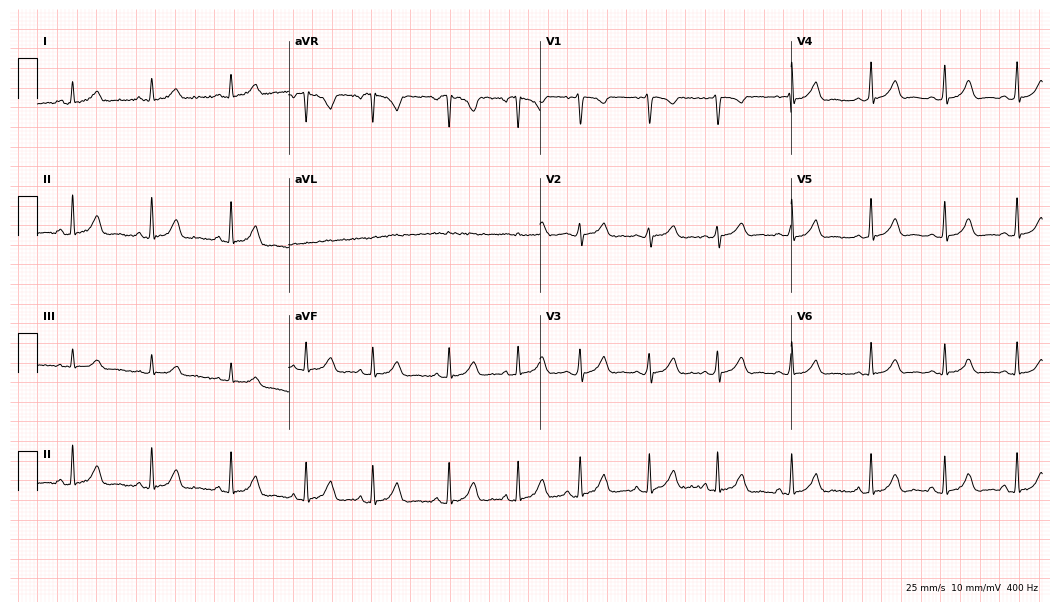
ECG — a 33-year-old female patient. Labelled as a normal ECG.